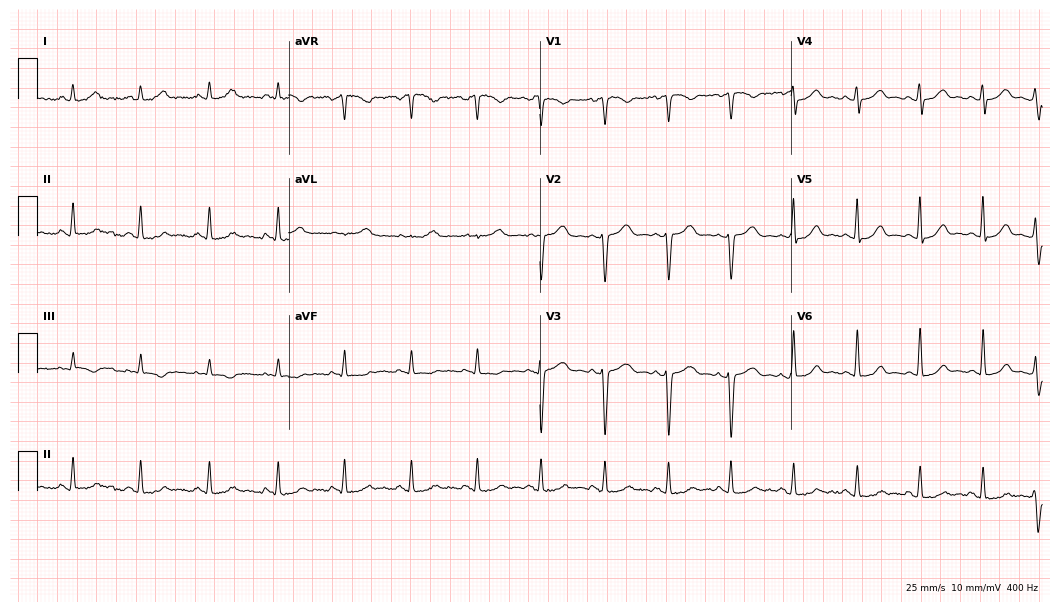
Electrocardiogram (10.2-second recording at 400 Hz), a 36-year-old female patient. Of the six screened findings (first-degree AV block, right bundle branch block, left bundle branch block, sinus bradycardia, atrial fibrillation, sinus tachycardia), none is recorded.